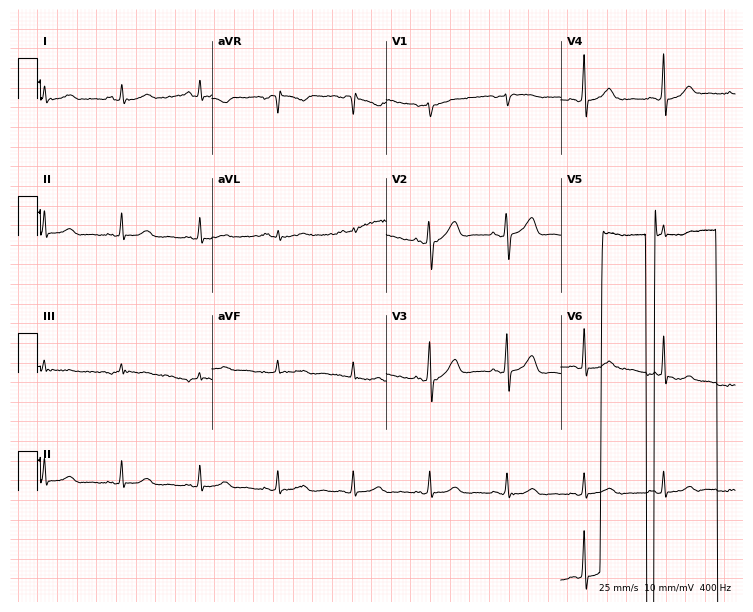
ECG — a 48-year-old female patient. Screened for six findings — first-degree AV block, right bundle branch block, left bundle branch block, sinus bradycardia, atrial fibrillation, sinus tachycardia — none is recorded.